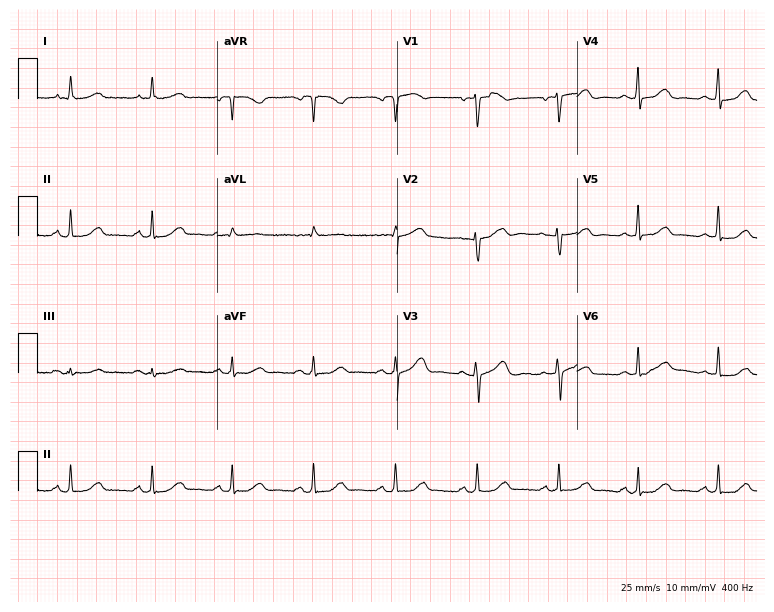
ECG (7.3-second recording at 400 Hz) — a female patient, 68 years old. Labelled as a normal ECG.